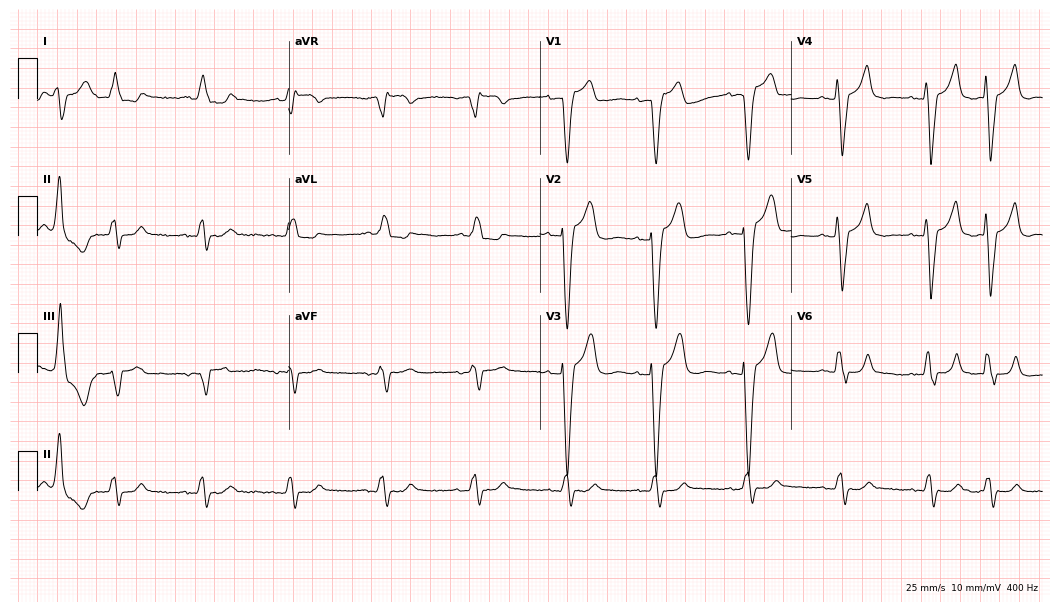
Resting 12-lead electrocardiogram (10.2-second recording at 400 Hz). Patient: a woman, 66 years old. The tracing shows left bundle branch block (LBBB).